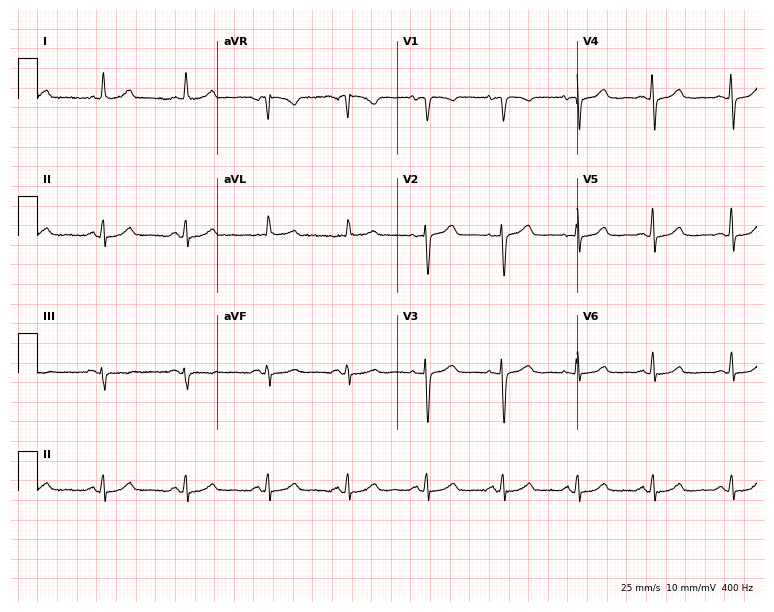
12-lead ECG (7.3-second recording at 400 Hz) from a female patient, 68 years old. Labelled as a normal ECG.